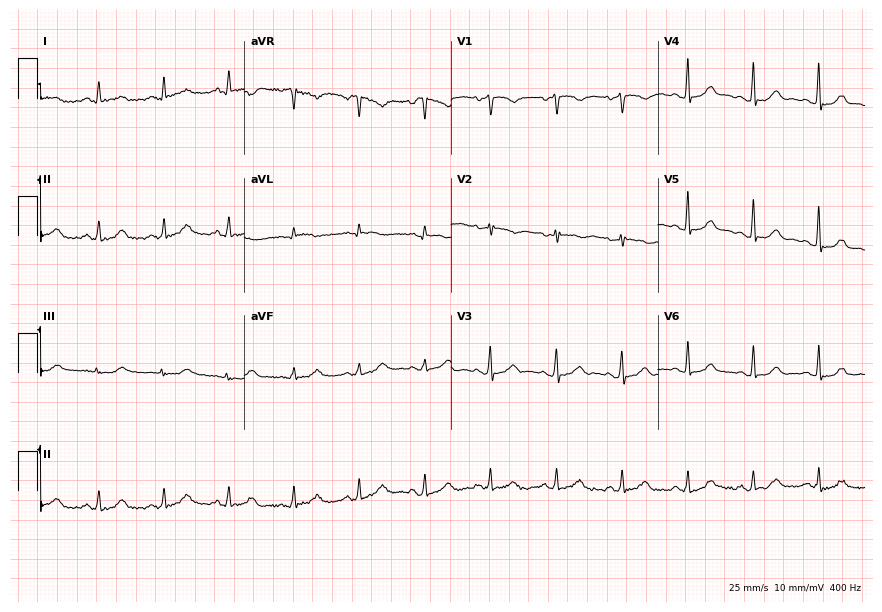
Standard 12-lead ECG recorded from a 64-year-old female. Read as a normal ECG.